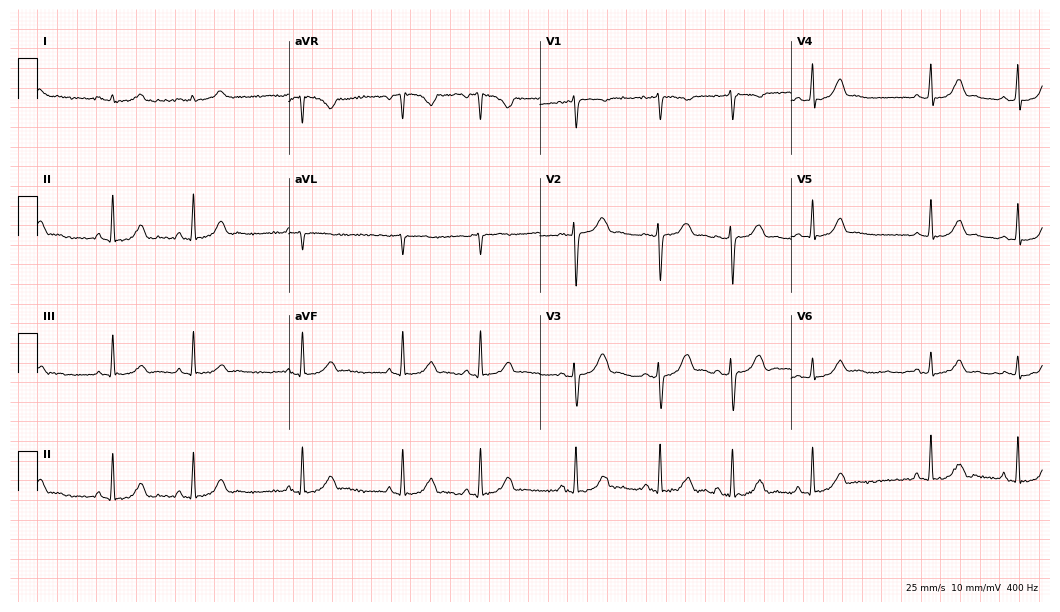
12-lead ECG from a 27-year-old female (10.2-second recording at 400 Hz). Recorded interpretation: within normal limits.